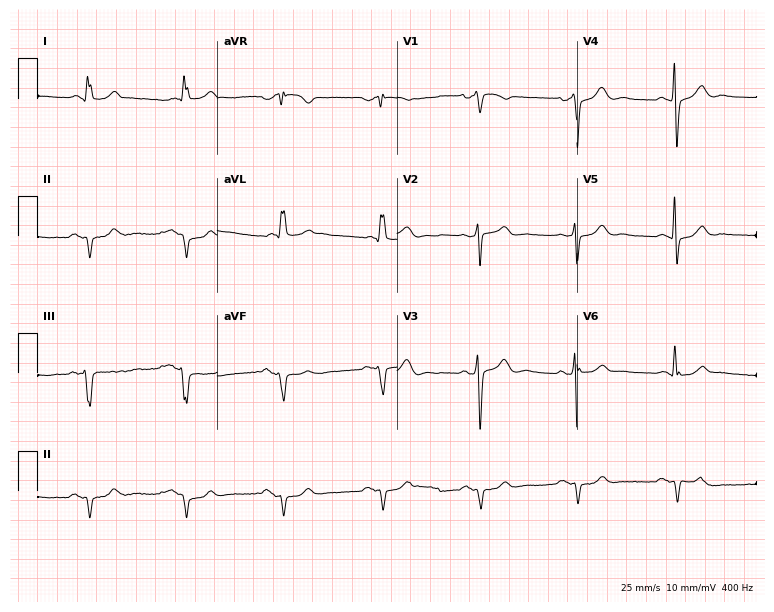
Standard 12-lead ECG recorded from a 75-year-old male patient. None of these six findings is recorded: first-degree AV block, right bundle branch block (RBBB), left bundle branch block (LBBB), sinus bradycardia, atrial fibrillation (AF), sinus tachycardia.